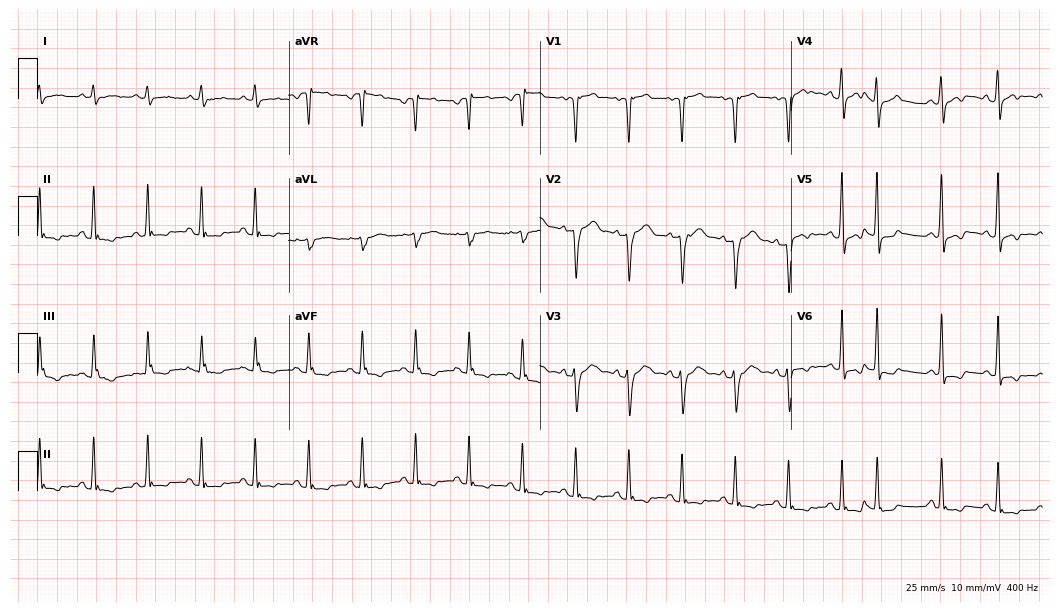
12-lead ECG from a 54-year-old man (10.2-second recording at 400 Hz). No first-degree AV block, right bundle branch block, left bundle branch block, sinus bradycardia, atrial fibrillation or sinus tachycardia recorded for this tracing. Other findings, if any, are not listed.